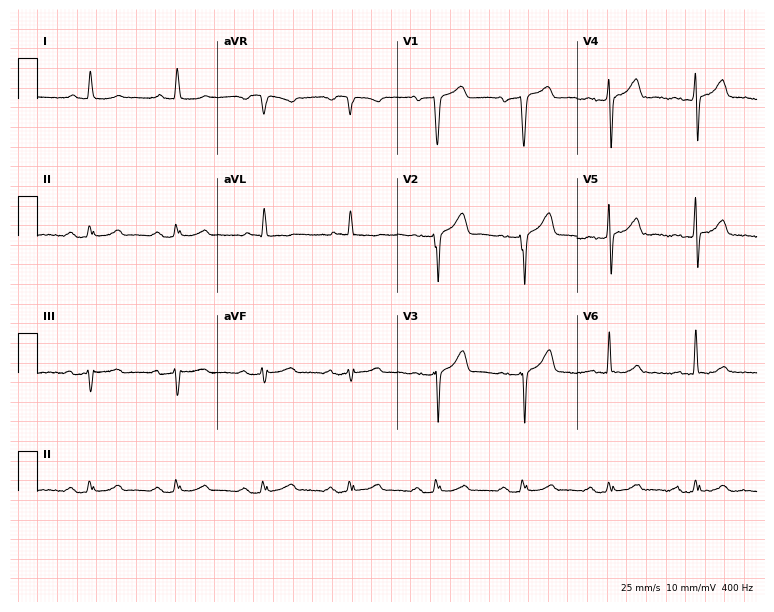
12-lead ECG from a 64-year-old male (7.3-second recording at 400 Hz). No first-degree AV block, right bundle branch block, left bundle branch block, sinus bradycardia, atrial fibrillation or sinus tachycardia recorded for this tracing.